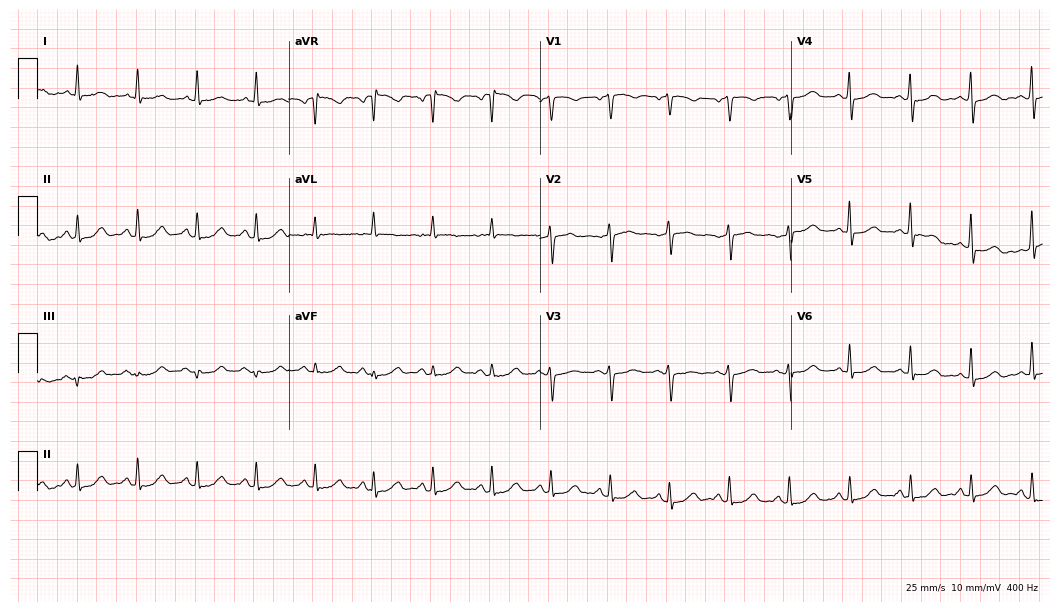
Resting 12-lead electrocardiogram (10.2-second recording at 400 Hz). Patient: a woman, 49 years old. None of these six findings is recorded: first-degree AV block, right bundle branch block, left bundle branch block, sinus bradycardia, atrial fibrillation, sinus tachycardia.